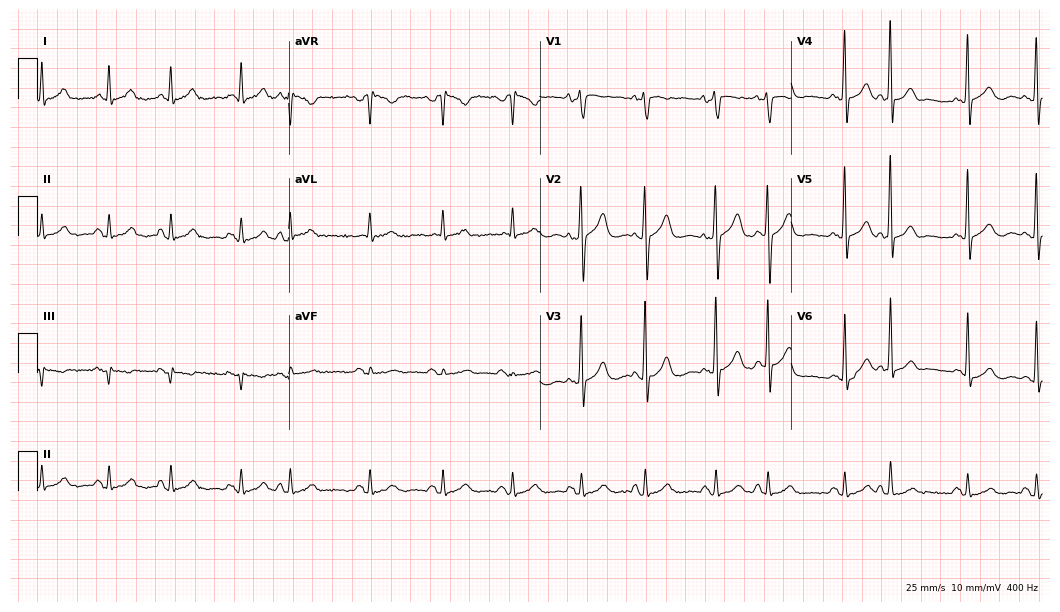
Standard 12-lead ECG recorded from a male, 79 years old (10.2-second recording at 400 Hz). Read as a normal ECG.